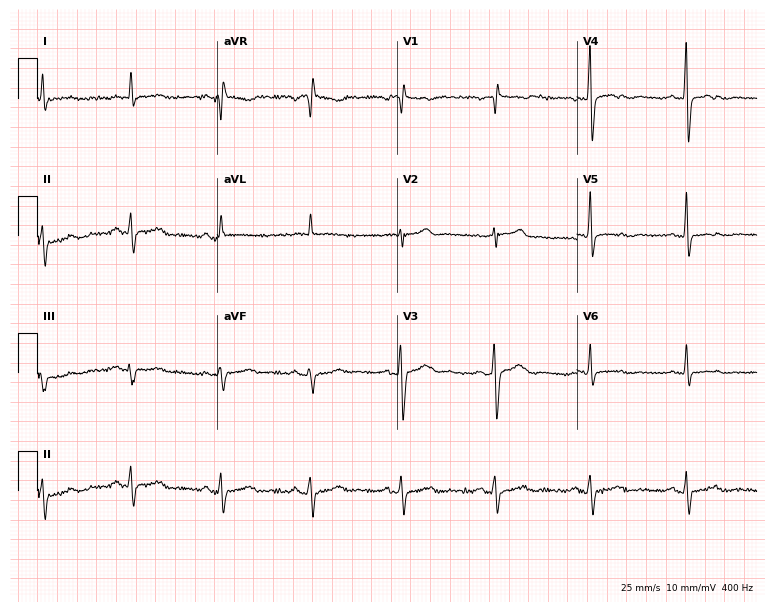
Electrocardiogram, a 47-year-old man. Of the six screened findings (first-degree AV block, right bundle branch block, left bundle branch block, sinus bradycardia, atrial fibrillation, sinus tachycardia), none is recorded. Only these six findings were labelled.